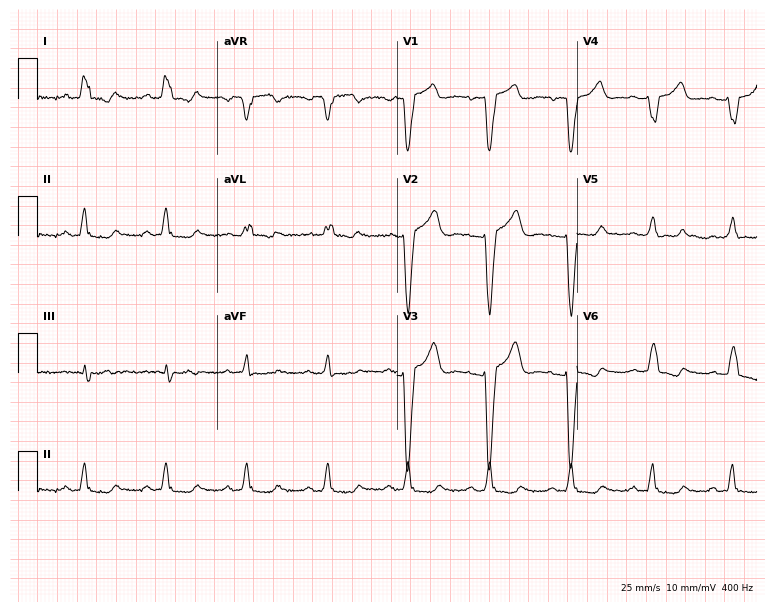
Electrocardiogram, a female, 67 years old. Interpretation includes left bundle branch block.